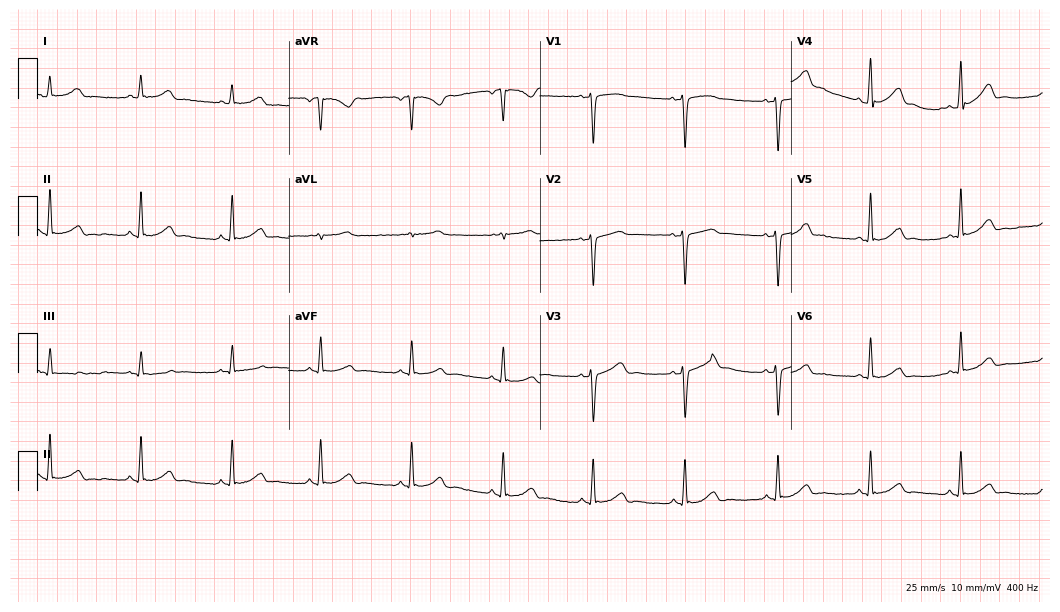
Electrocardiogram, a female patient, 40 years old. Of the six screened findings (first-degree AV block, right bundle branch block, left bundle branch block, sinus bradycardia, atrial fibrillation, sinus tachycardia), none is recorded.